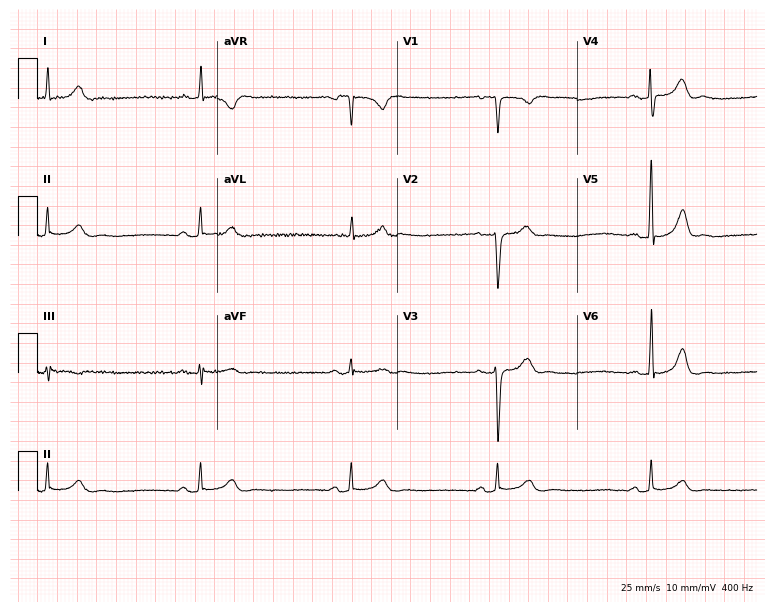
Electrocardiogram, a male, 42 years old. Interpretation includes sinus bradycardia (a sinus rate of 50 beats per minute or less).